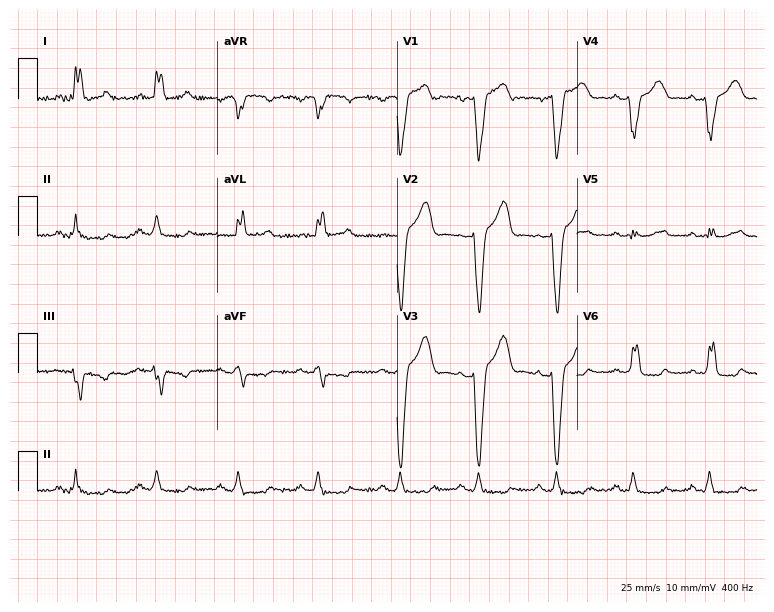
ECG — a male, 76 years old. Findings include left bundle branch block (LBBB).